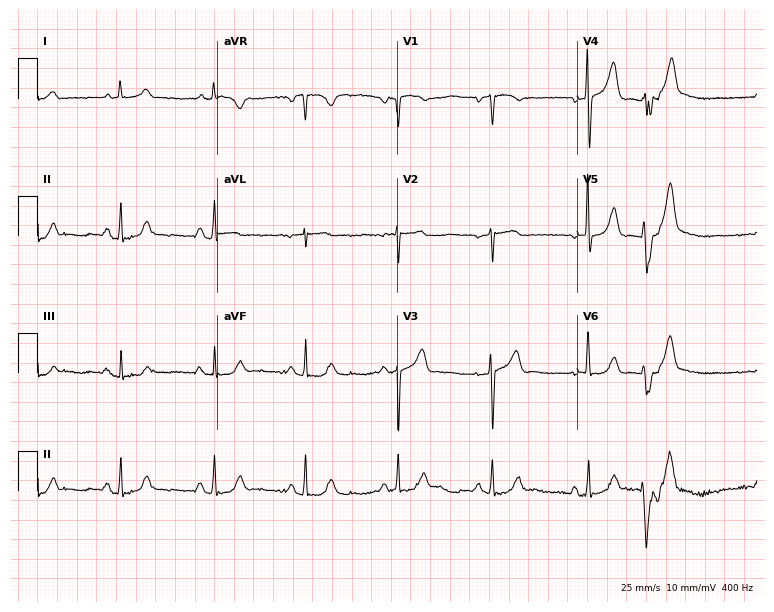
Standard 12-lead ECG recorded from a male patient, 71 years old. Read as a normal ECG.